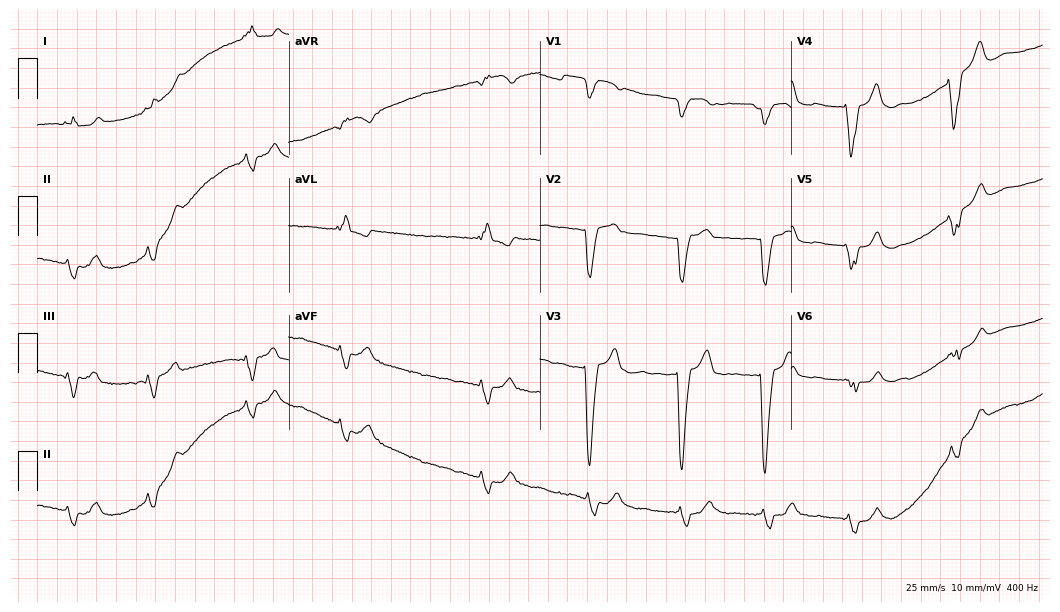
Electrocardiogram, a female patient, 71 years old. Of the six screened findings (first-degree AV block, right bundle branch block (RBBB), left bundle branch block (LBBB), sinus bradycardia, atrial fibrillation (AF), sinus tachycardia), none is recorded.